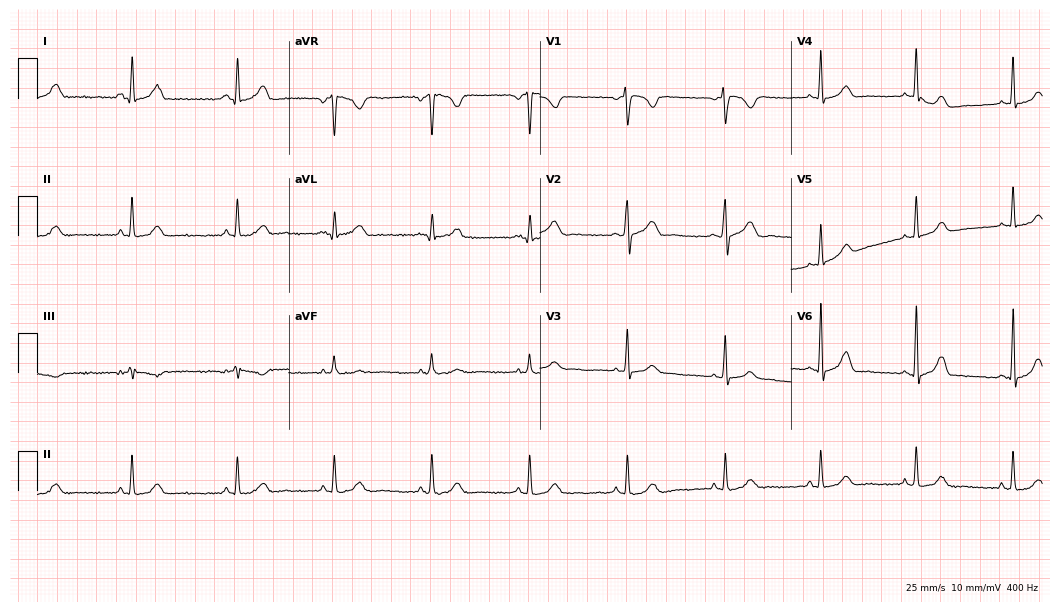
Electrocardiogram, a woman, 25 years old. Of the six screened findings (first-degree AV block, right bundle branch block (RBBB), left bundle branch block (LBBB), sinus bradycardia, atrial fibrillation (AF), sinus tachycardia), none is recorded.